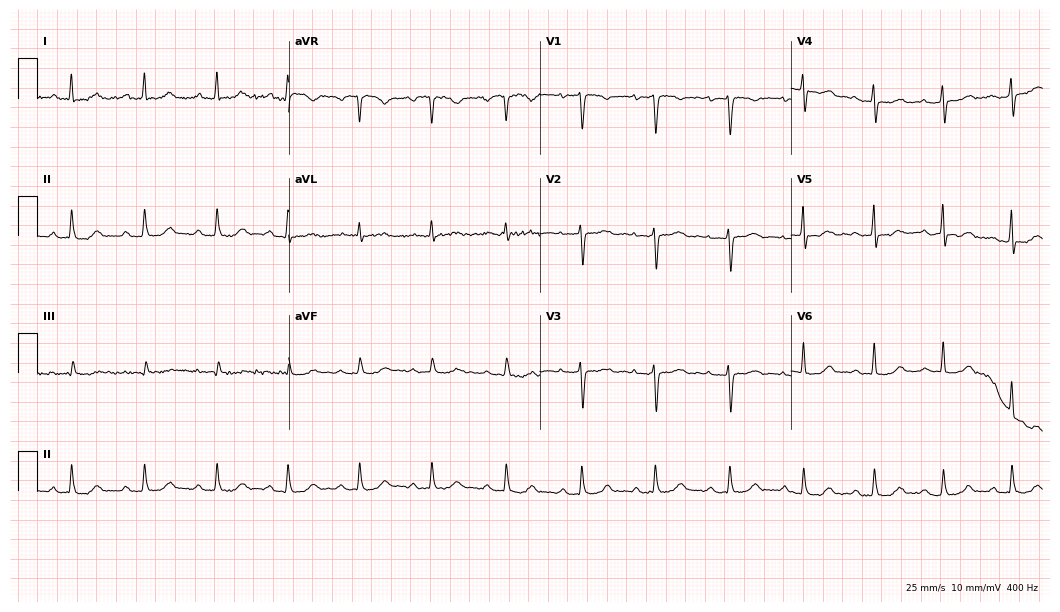
Resting 12-lead electrocardiogram. Patient: a woman, 60 years old. Read as a normal ECG.